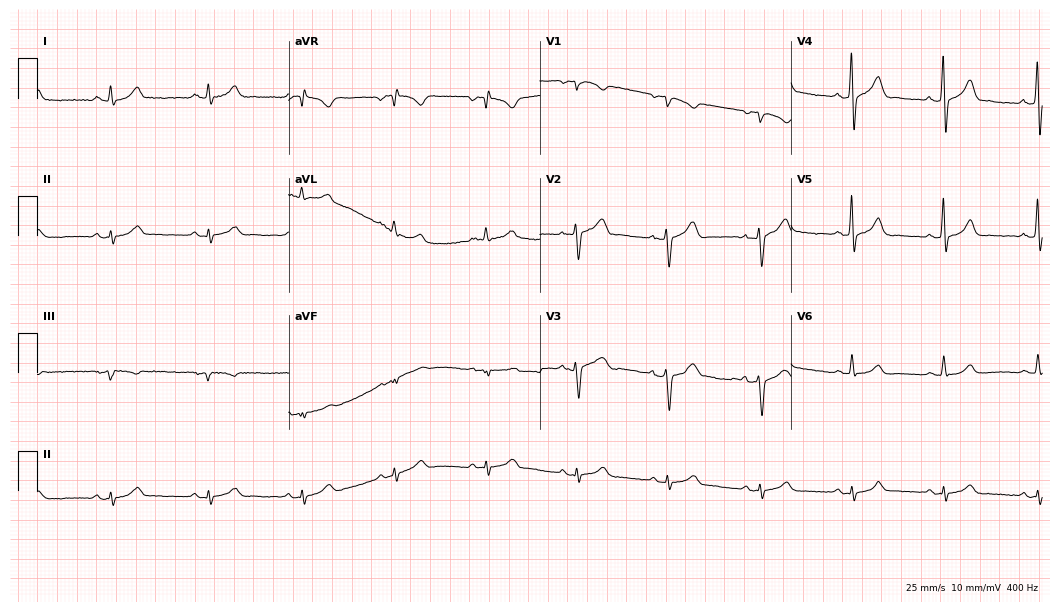
Resting 12-lead electrocardiogram (10.2-second recording at 400 Hz). Patient: a 55-year-old man. Read as a normal ECG.